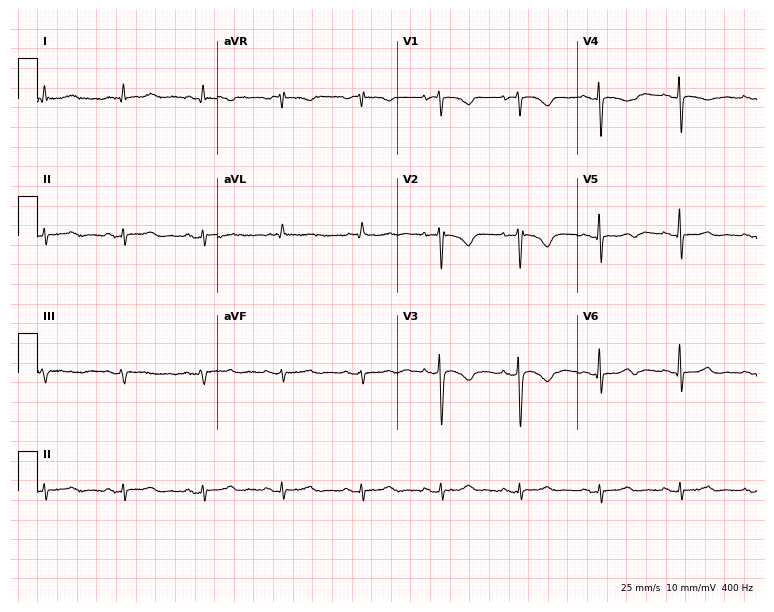
Electrocardiogram, a female patient, 84 years old. Of the six screened findings (first-degree AV block, right bundle branch block, left bundle branch block, sinus bradycardia, atrial fibrillation, sinus tachycardia), none is recorded.